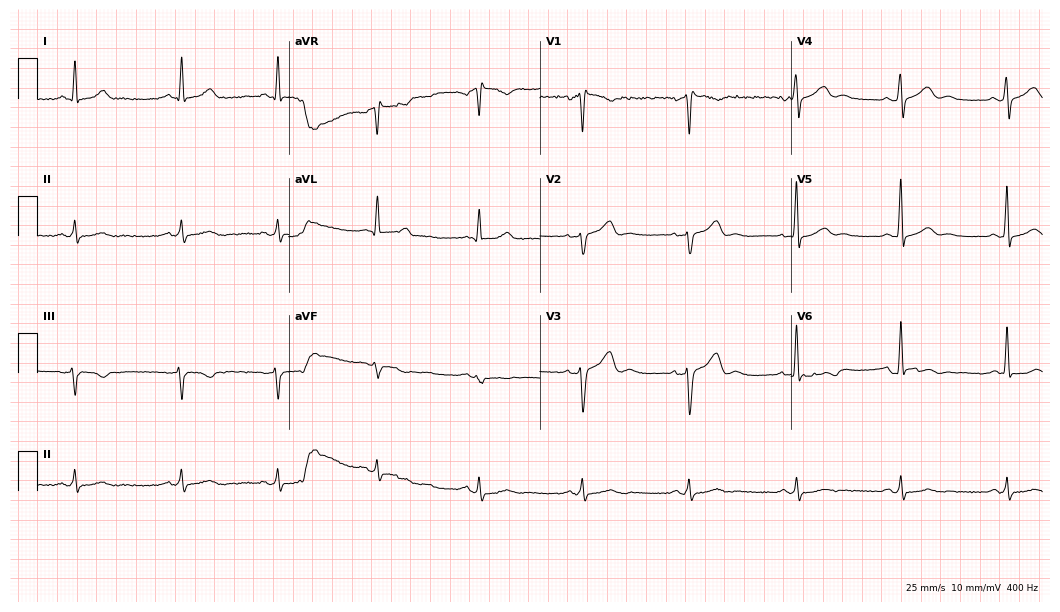
12-lead ECG (10.2-second recording at 400 Hz) from a 55-year-old male patient. Screened for six findings — first-degree AV block, right bundle branch block, left bundle branch block, sinus bradycardia, atrial fibrillation, sinus tachycardia — none is recorded.